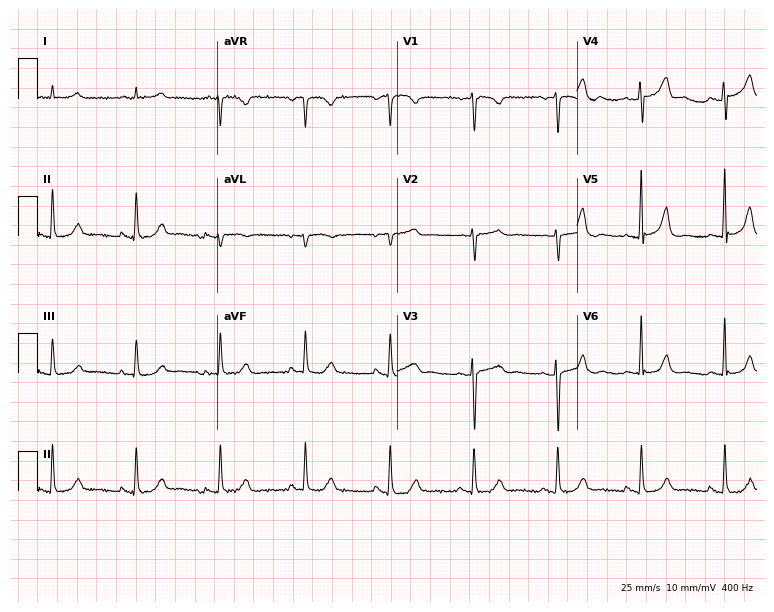
ECG (7.3-second recording at 400 Hz) — a woman, 64 years old. Screened for six findings — first-degree AV block, right bundle branch block (RBBB), left bundle branch block (LBBB), sinus bradycardia, atrial fibrillation (AF), sinus tachycardia — none is recorded. Other findings, if any, are not listed.